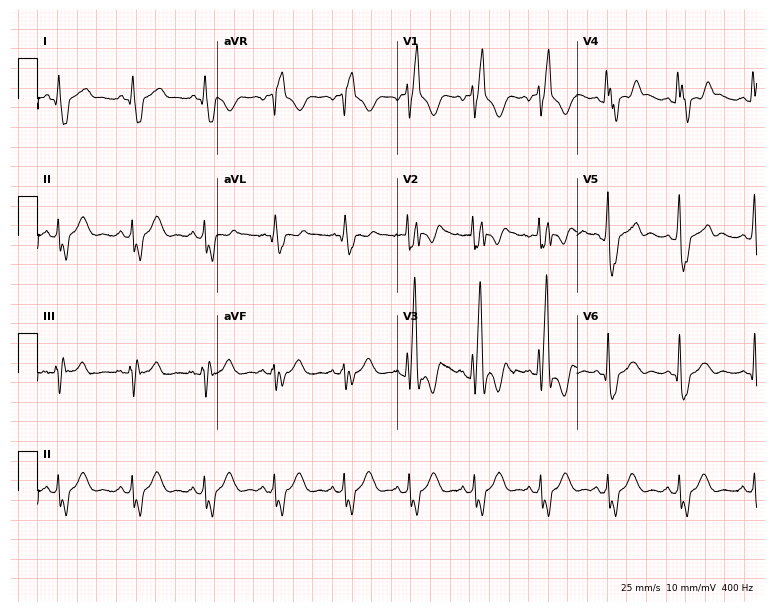
12-lead ECG from a 23-year-old male. Shows right bundle branch block (RBBB).